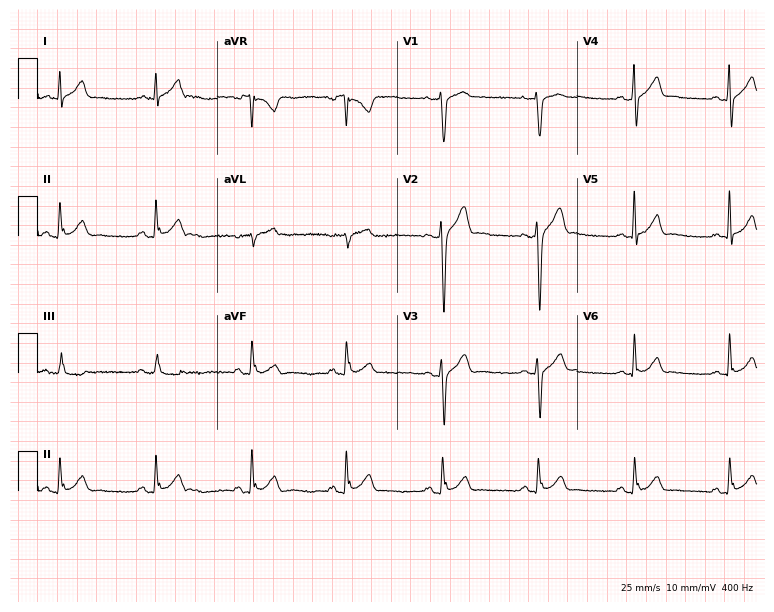
Standard 12-lead ECG recorded from a male, 34 years old. None of these six findings is recorded: first-degree AV block, right bundle branch block (RBBB), left bundle branch block (LBBB), sinus bradycardia, atrial fibrillation (AF), sinus tachycardia.